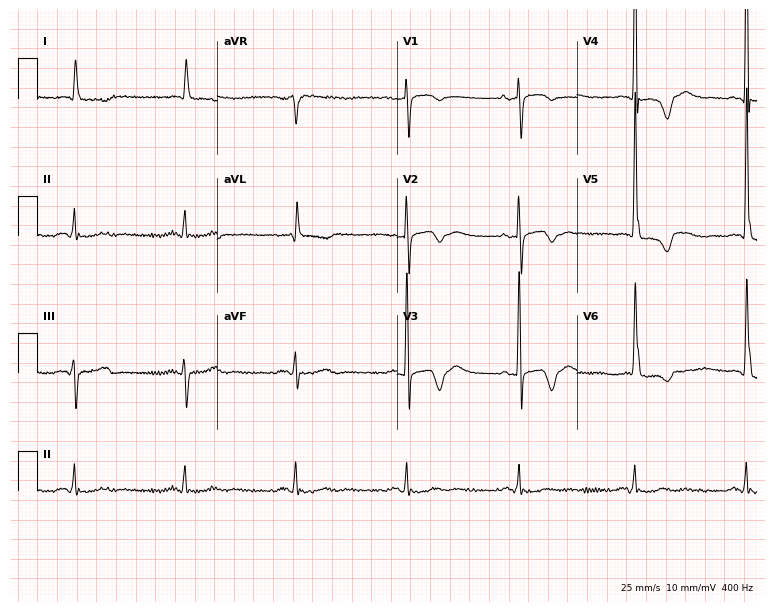
Resting 12-lead electrocardiogram (7.3-second recording at 400 Hz). Patient: a female, 81 years old. None of these six findings is recorded: first-degree AV block, right bundle branch block, left bundle branch block, sinus bradycardia, atrial fibrillation, sinus tachycardia. Other findings, if any, are not listed.